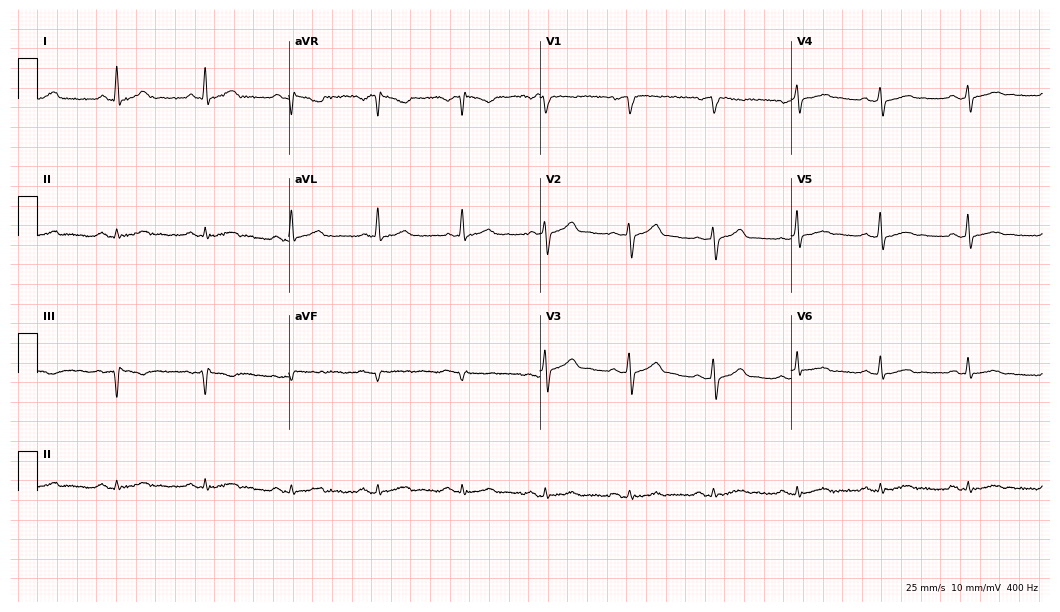
Standard 12-lead ECG recorded from a 59-year-old man. Read as a normal ECG.